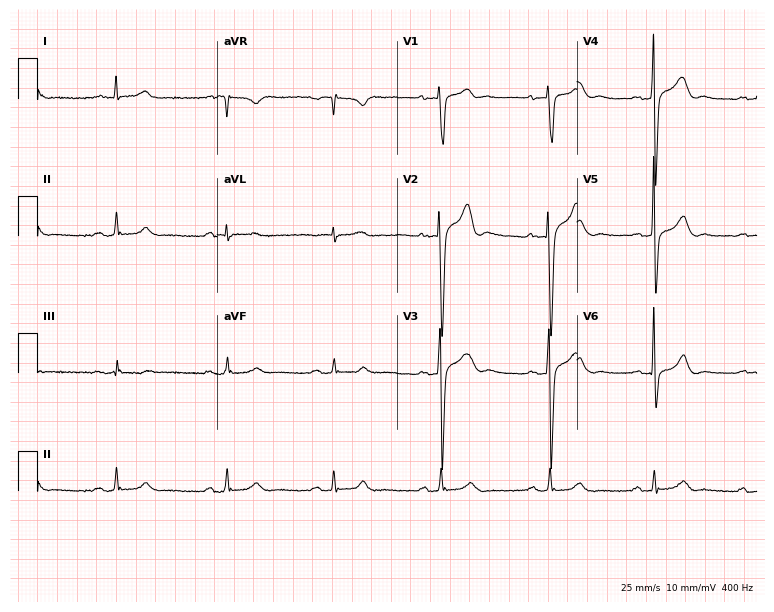
Resting 12-lead electrocardiogram. Patient: a 53-year-old male. Read as a normal ECG.